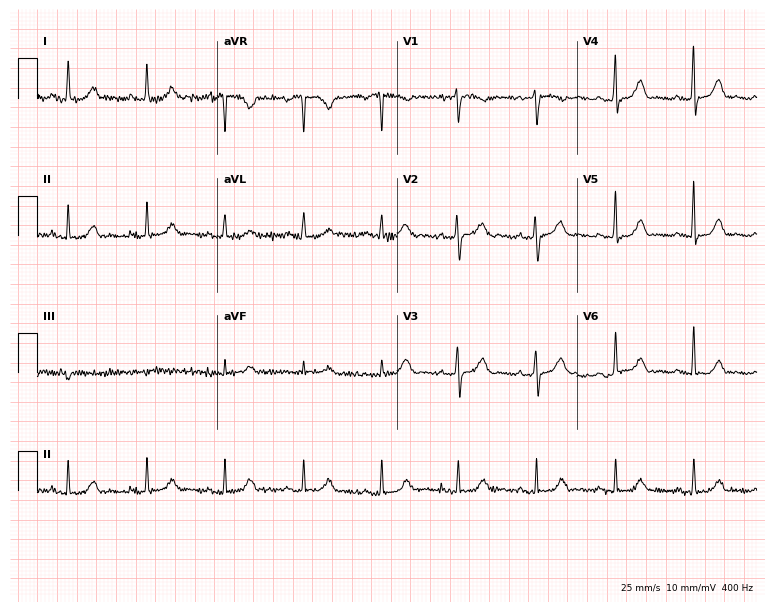
ECG — a 59-year-old female. Labelled as a normal ECG.